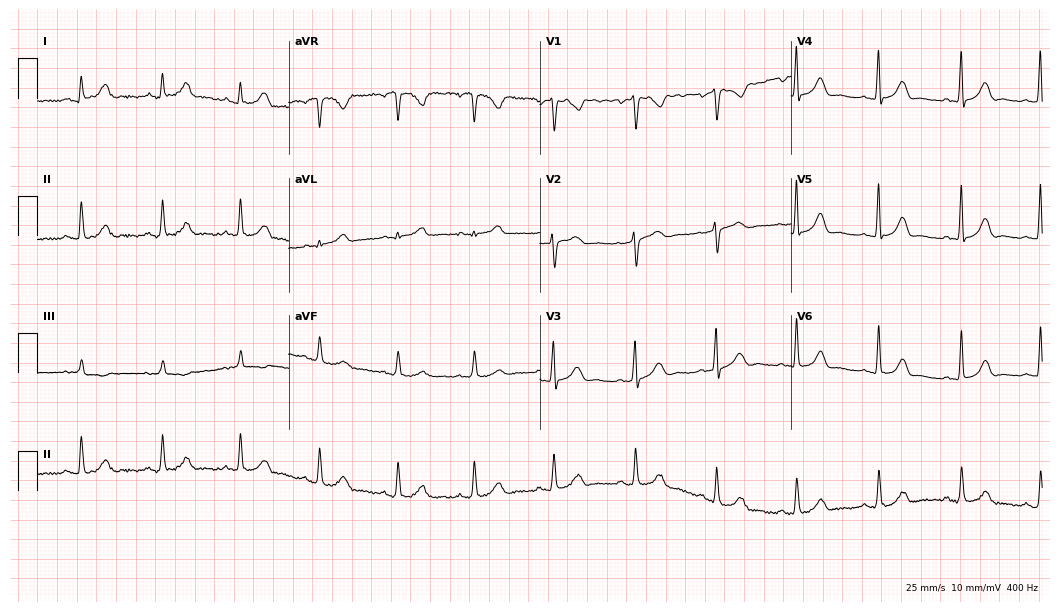
Electrocardiogram (10.2-second recording at 400 Hz), a female, 30 years old. Overall reading on record: normal ECG.